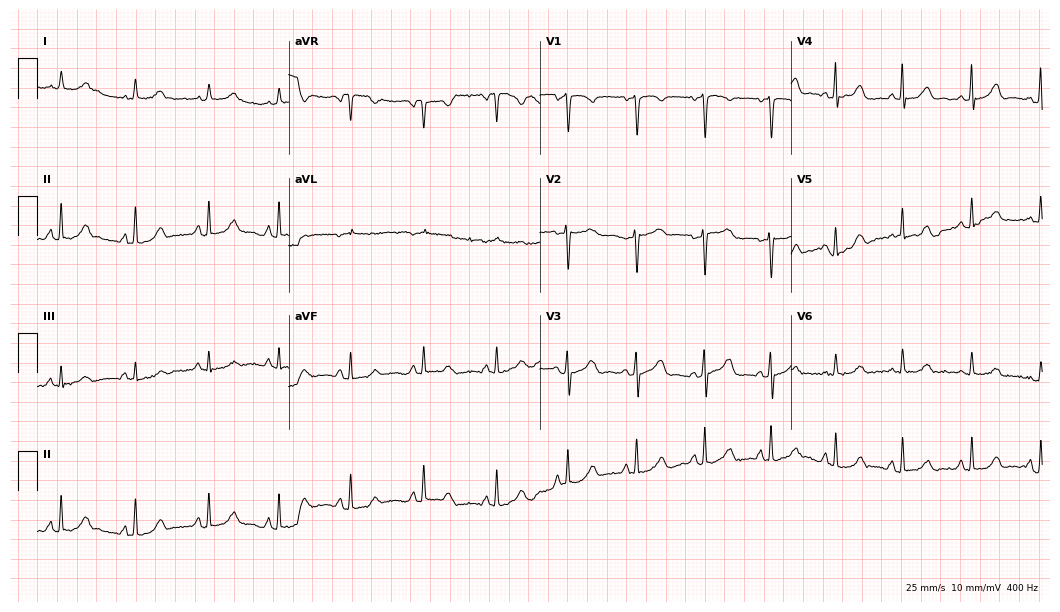
Standard 12-lead ECG recorded from a woman, 47 years old. Read as a normal ECG.